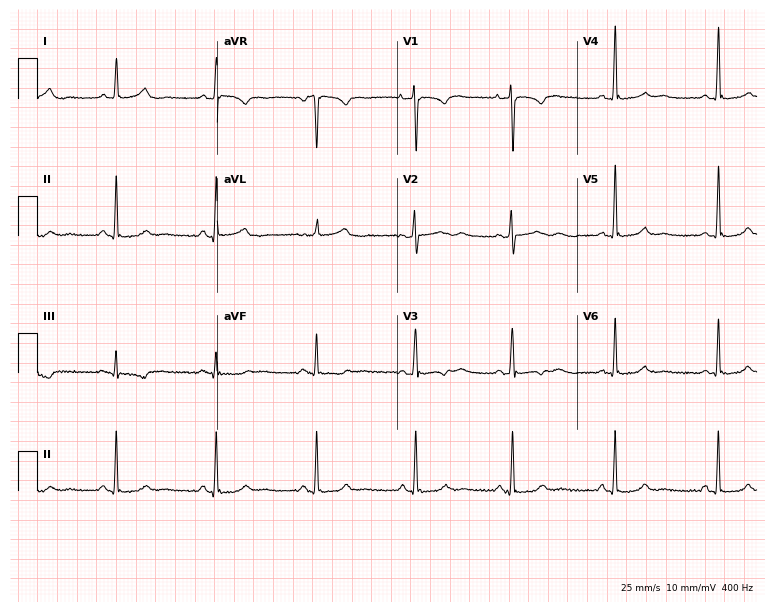
Standard 12-lead ECG recorded from a 36-year-old female. None of these six findings is recorded: first-degree AV block, right bundle branch block (RBBB), left bundle branch block (LBBB), sinus bradycardia, atrial fibrillation (AF), sinus tachycardia.